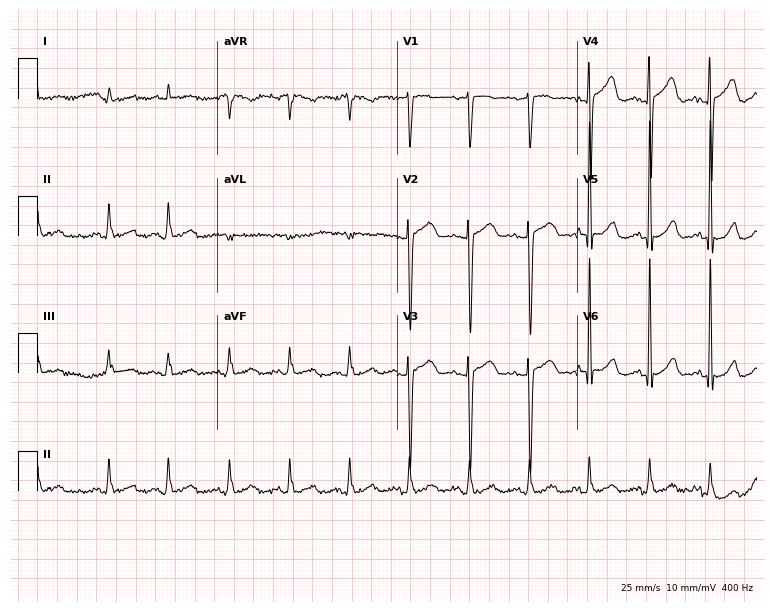
Standard 12-lead ECG recorded from an 81-year-old man (7.3-second recording at 400 Hz). None of these six findings is recorded: first-degree AV block, right bundle branch block, left bundle branch block, sinus bradycardia, atrial fibrillation, sinus tachycardia.